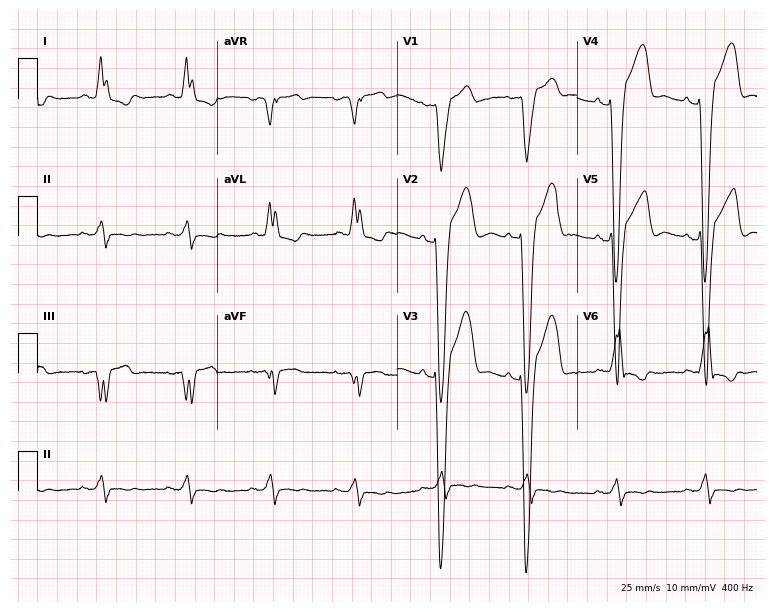
Resting 12-lead electrocardiogram (7.3-second recording at 400 Hz). Patient: a 70-year-old male. The tracing shows left bundle branch block.